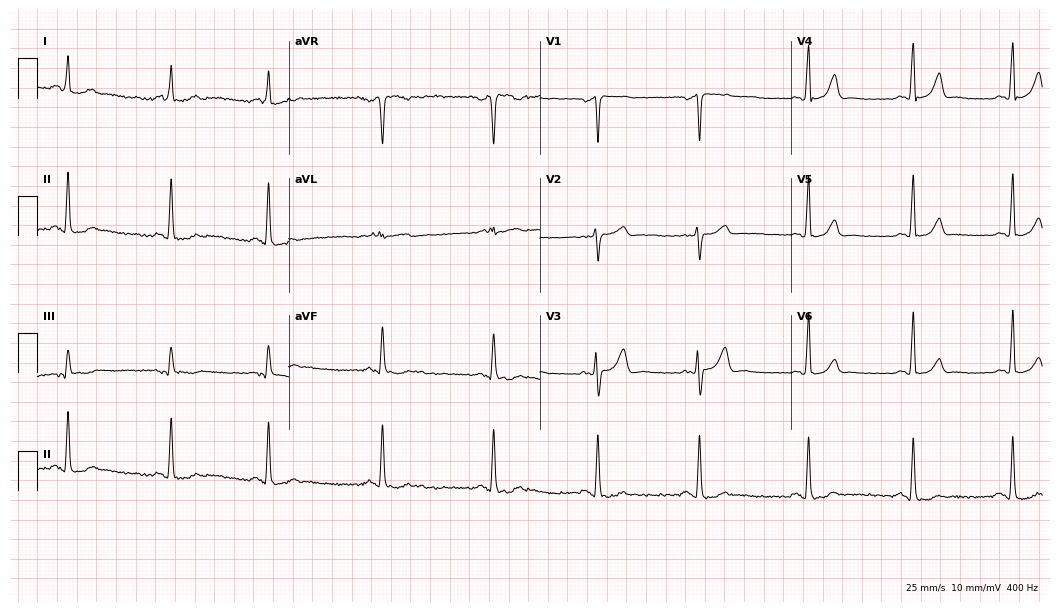
ECG (10.2-second recording at 400 Hz) — a female patient, 44 years old. Screened for six findings — first-degree AV block, right bundle branch block (RBBB), left bundle branch block (LBBB), sinus bradycardia, atrial fibrillation (AF), sinus tachycardia — none is recorded. Only these six findings were labelled.